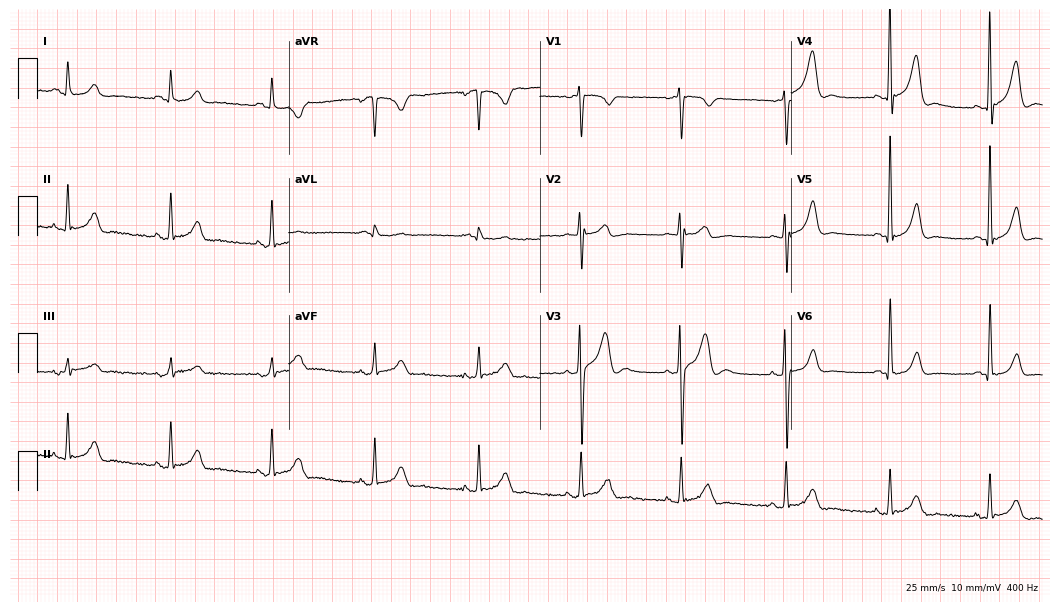
Resting 12-lead electrocardiogram. Patient: a man, 21 years old. None of these six findings is recorded: first-degree AV block, right bundle branch block, left bundle branch block, sinus bradycardia, atrial fibrillation, sinus tachycardia.